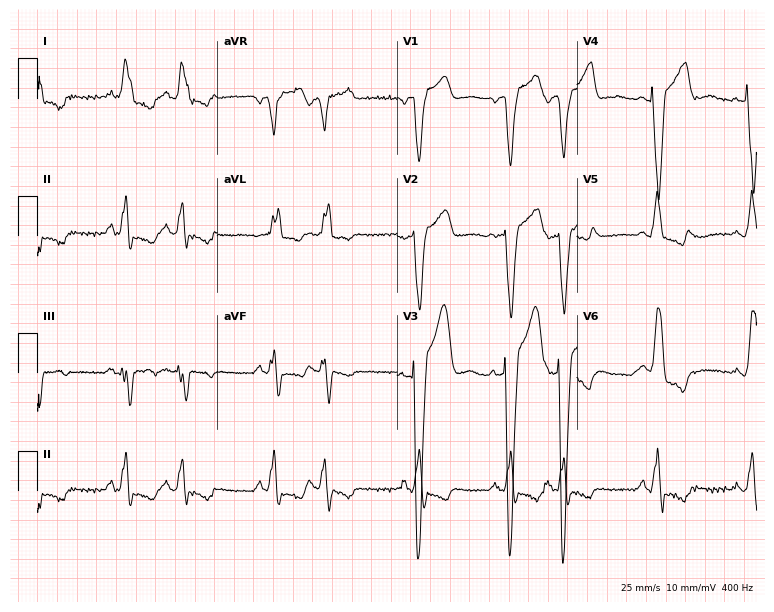
Resting 12-lead electrocardiogram (7.3-second recording at 400 Hz). Patient: a man, 71 years old. The tracing shows left bundle branch block.